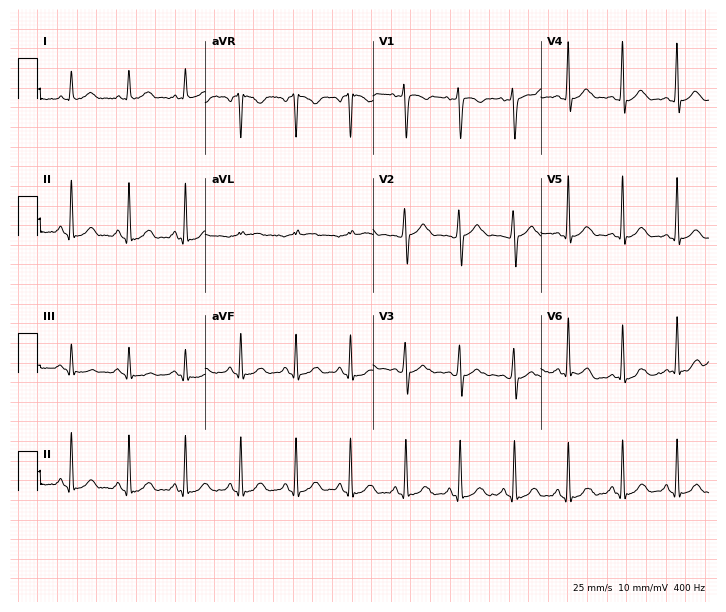
Resting 12-lead electrocardiogram (6.8-second recording at 400 Hz). Patient: a woman, 24 years old. The tracing shows sinus tachycardia (a sinus rate of 100 beats per minute or more).